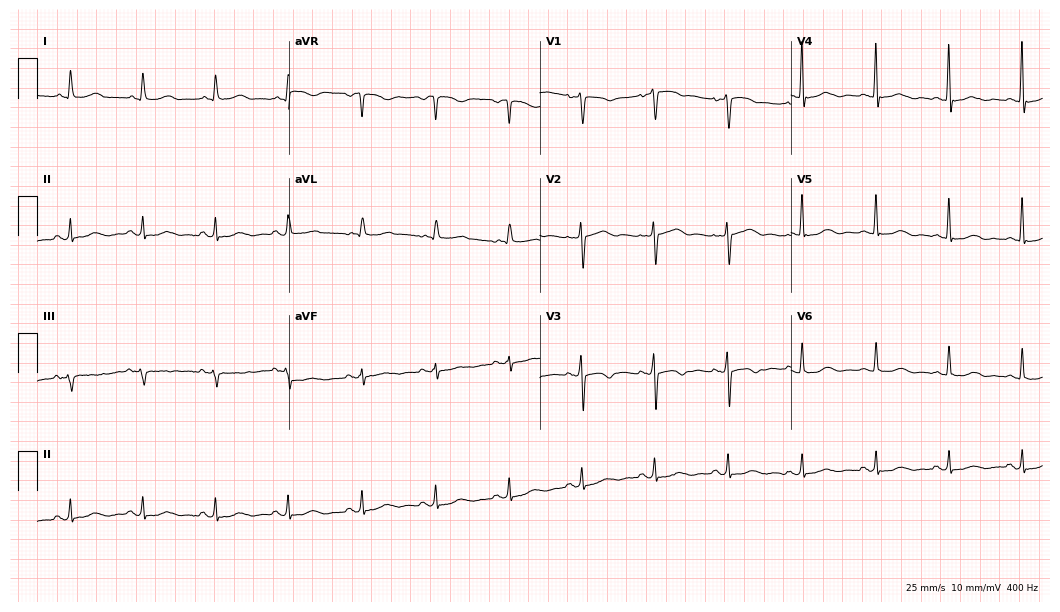
12-lead ECG from a 69-year-old female patient. Recorded interpretation: within normal limits.